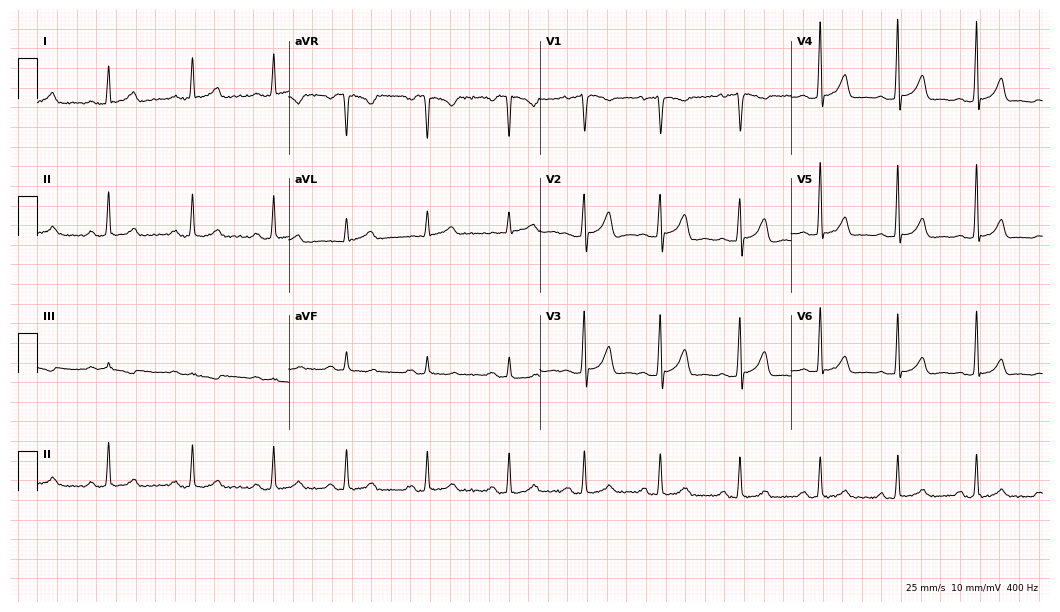
Standard 12-lead ECG recorded from a female patient, 34 years old (10.2-second recording at 400 Hz). None of these six findings is recorded: first-degree AV block, right bundle branch block (RBBB), left bundle branch block (LBBB), sinus bradycardia, atrial fibrillation (AF), sinus tachycardia. Other findings, if any, are not listed.